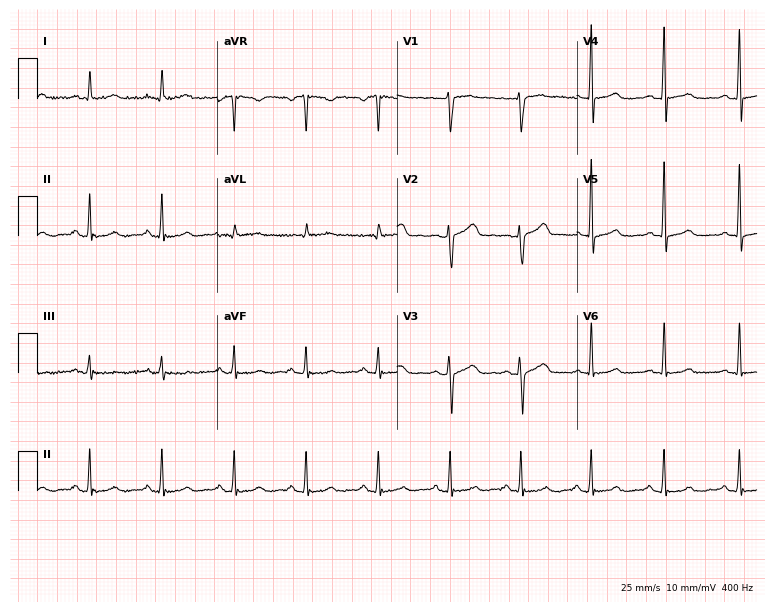
12-lead ECG (7.3-second recording at 400 Hz) from a female patient, 42 years old. Labelled as a normal ECG.